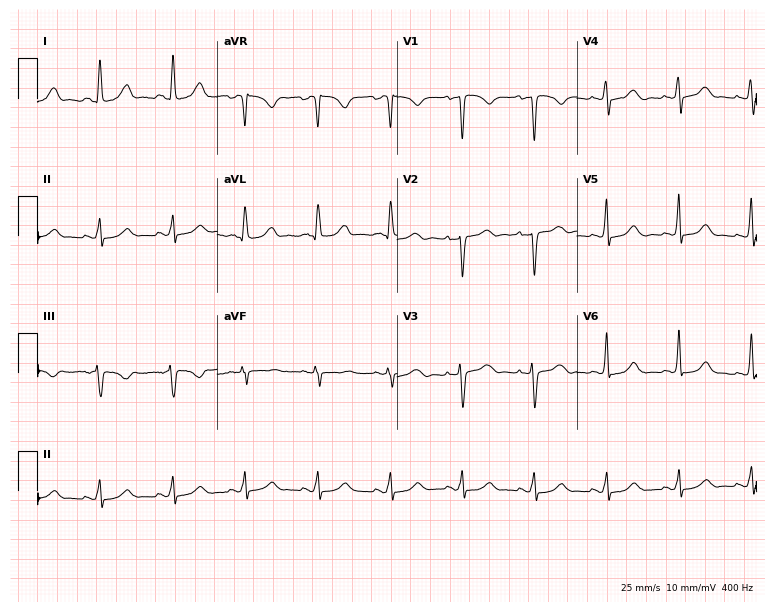
12-lead ECG from a 44-year-old female patient. Screened for six findings — first-degree AV block, right bundle branch block (RBBB), left bundle branch block (LBBB), sinus bradycardia, atrial fibrillation (AF), sinus tachycardia — none is recorded.